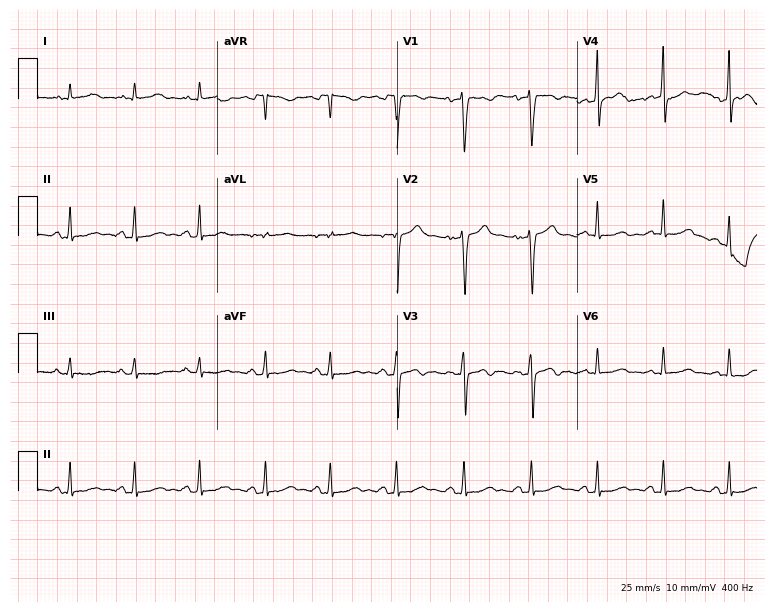
Standard 12-lead ECG recorded from a 46-year-old male (7.3-second recording at 400 Hz). None of these six findings is recorded: first-degree AV block, right bundle branch block (RBBB), left bundle branch block (LBBB), sinus bradycardia, atrial fibrillation (AF), sinus tachycardia. Findings outside these six are not listed.